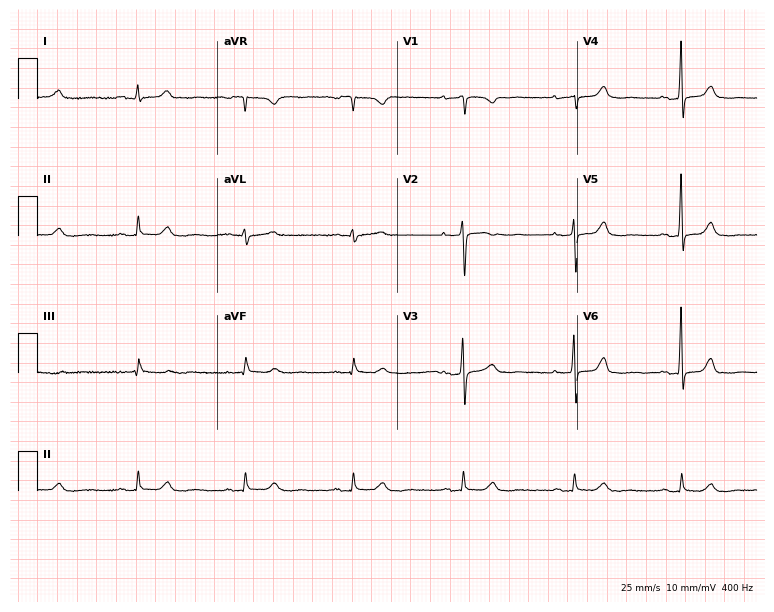
12-lead ECG from a 57-year-old female. No first-degree AV block, right bundle branch block, left bundle branch block, sinus bradycardia, atrial fibrillation or sinus tachycardia recorded for this tracing.